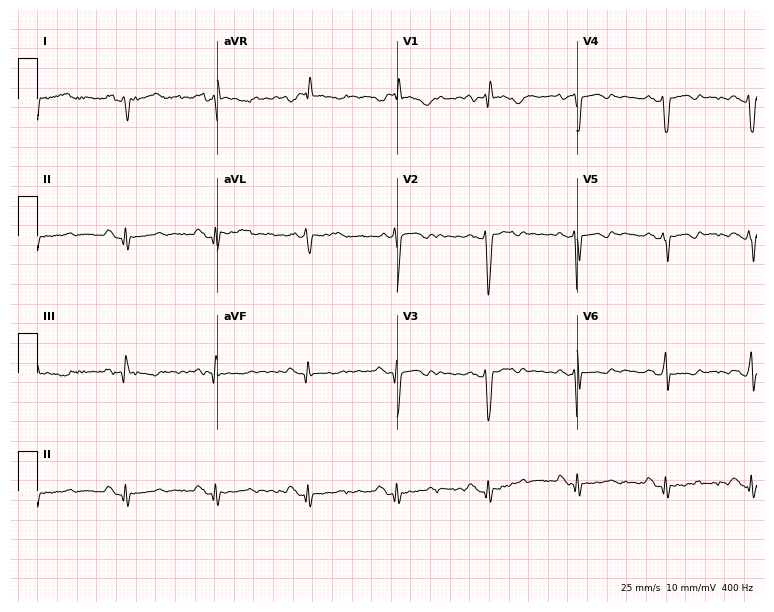
12-lead ECG from a 46-year-old woman. Shows right bundle branch block.